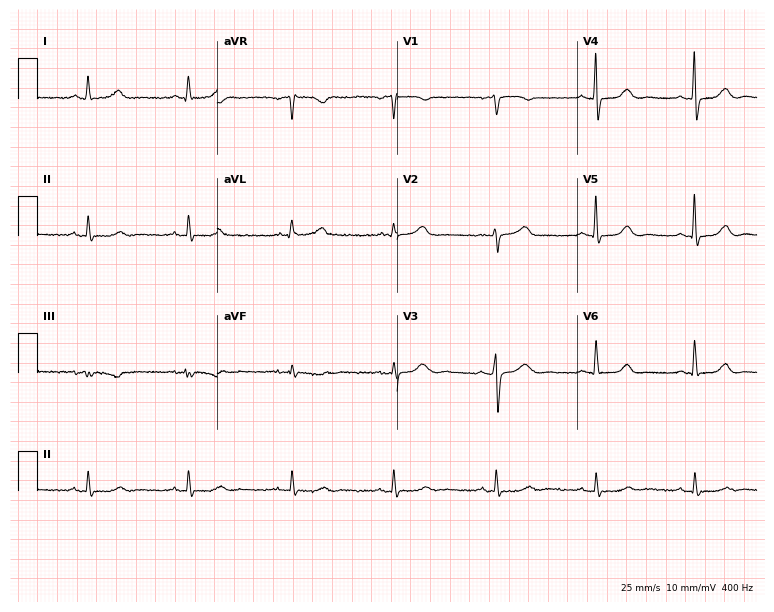
Standard 12-lead ECG recorded from a female patient, 64 years old (7.3-second recording at 400 Hz). None of these six findings is recorded: first-degree AV block, right bundle branch block (RBBB), left bundle branch block (LBBB), sinus bradycardia, atrial fibrillation (AF), sinus tachycardia.